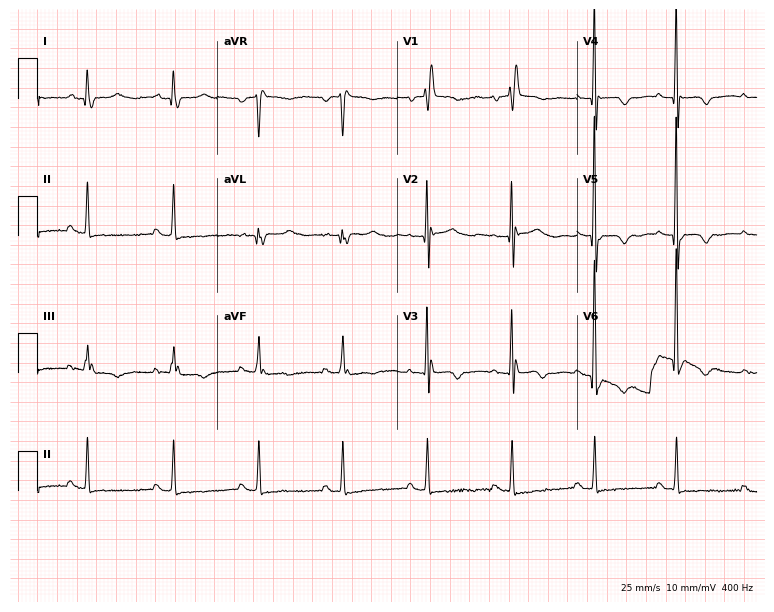
12-lead ECG from a 76-year-old female patient (7.3-second recording at 400 Hz). Shows right bundle branch block.